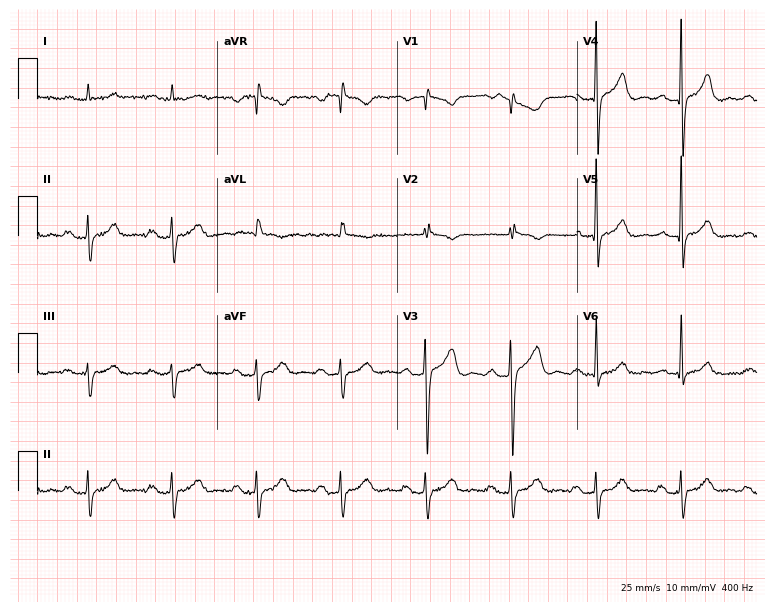
Resting 12-lead electrocardiogram (7.3-second recording at 400 Hz). Patient: a 73-year-old man. None of these six findings is recorded: first-degree AV block, right bundle branch block, left bundle branch block, sinus bradycardia, atrial fibrillation, sinus tachycardia. Only these six findings were labelled.